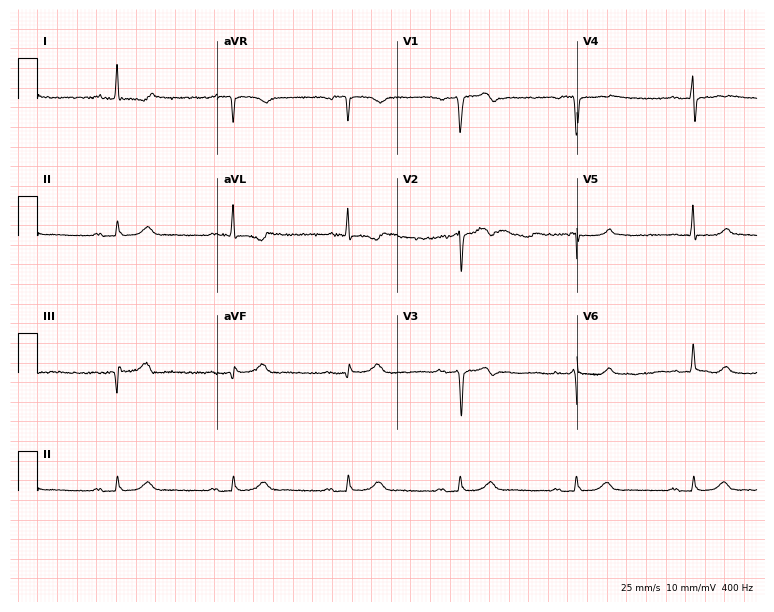
Standard 12-lead ECG recorded from a 53-year-old male patient (7.3-second recording at 400 Hz). None of these six findings is recorded: first-degree AV block, right bundle branch block, left bundle branch block, sinus bradycardia, atrial fibrillation, sinus tachycardia.